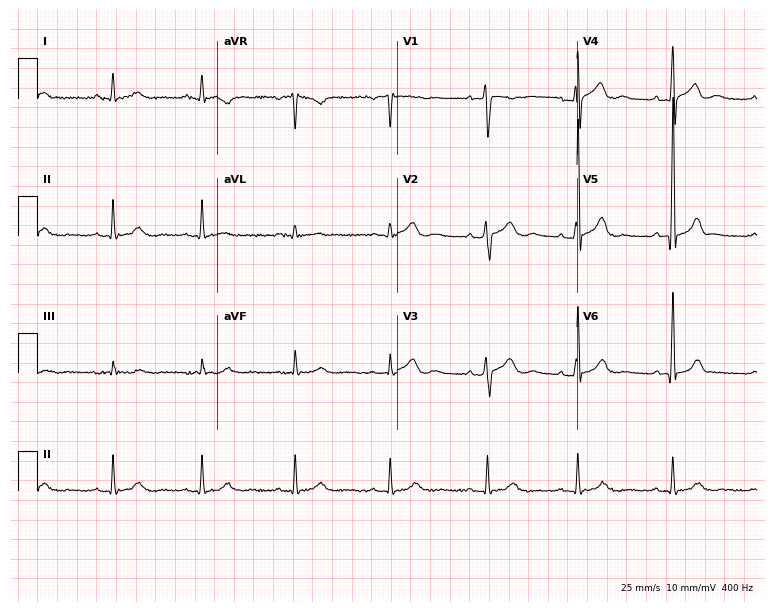
Standard 12-lead ECG recorded from a male, 28 years old. None of these six findings is recorded: first-degree AV block, right bundle branch block, left bundle branch block, sinus bradycardia, atrial fibrillation, sinus tachycardia. Only these six findings were labelled.